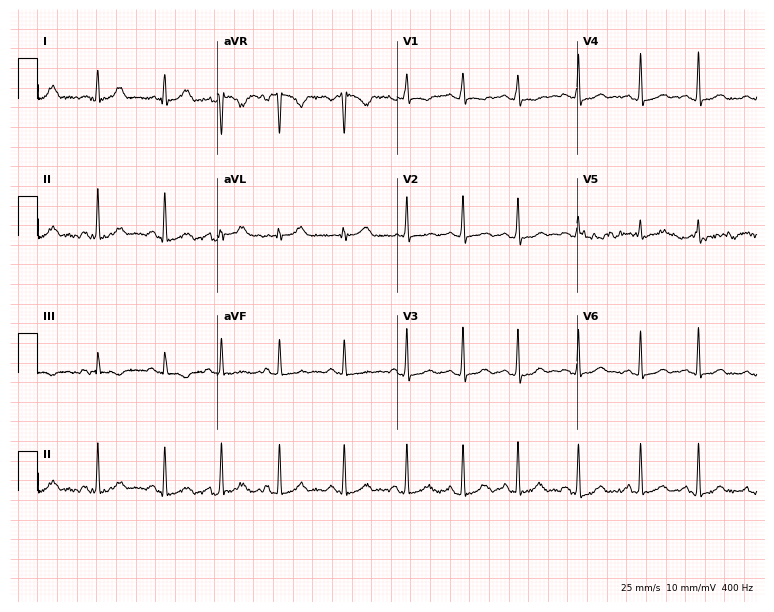
12-lead ECG from a female patient, 22 years old (7.3-second recording at 400 Hz). No first-degree AV block, right bundle branch block, left bundle branch block, sinus bradycardia, atrial fibrillation or sinus tachycardia recorded for this tracing.